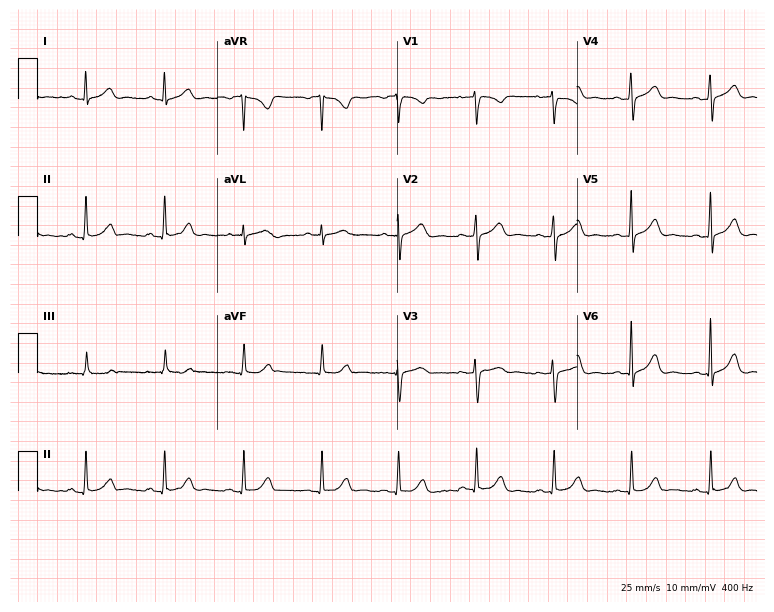
12-lead ECG from a female patient, 37 years old (7.3-second recording at 400 Hz). Recorded interpretation: within normal limits.